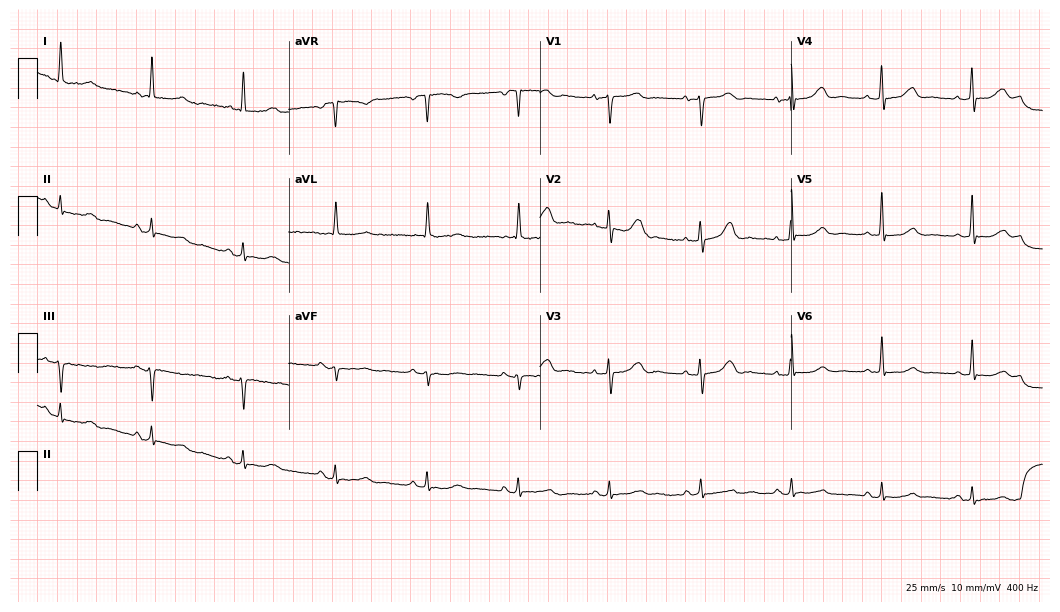
12-lead ECG from a woman, 82 years old (10.2-second recording at 400 Hz). Recorded interpretation: within normal limits.